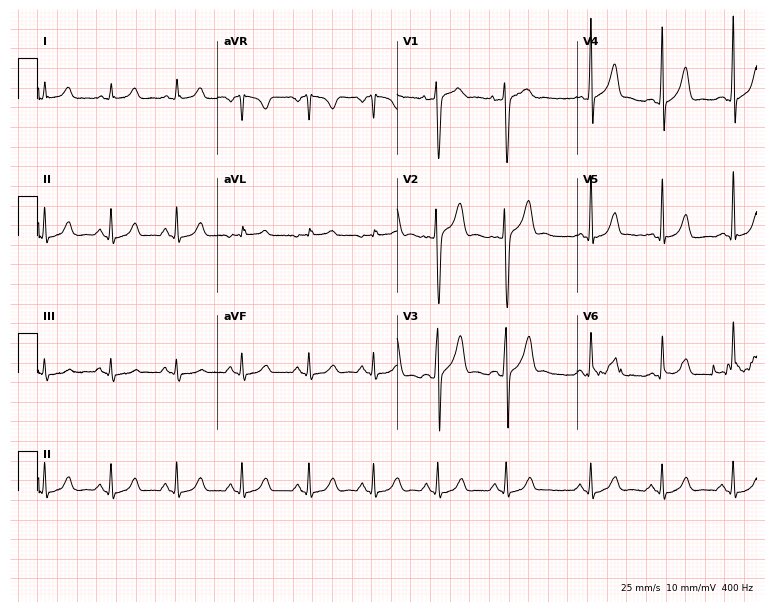
Standard 12-lead ECG recorded from a man, 18 years old. Read as a normal ECG.